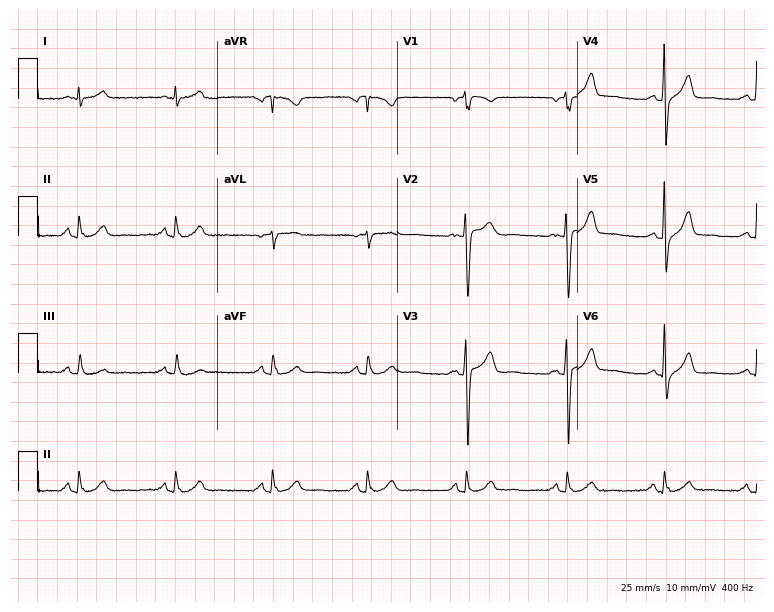
12-lead ECG (7.3-second recording at 400 Hz) from a 47-year-old man. Labelled as a normal ECG.